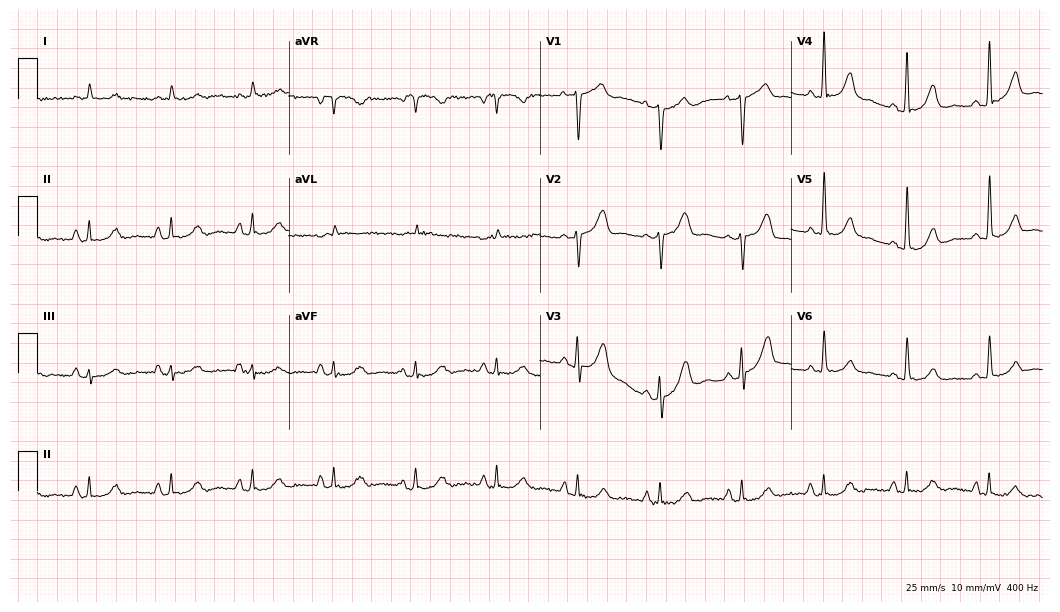
Resting 12-lead electrocardiogram (10.2-second recording at 400 Hz). Patient: a 71-year-old man. None of these six findings is recorded: first-degree AV block, right bundle branch block, left bundle branch block, sinus bradycardia, atrial fibrillation, sinus tachycardia. Findings outside these six are not listed.